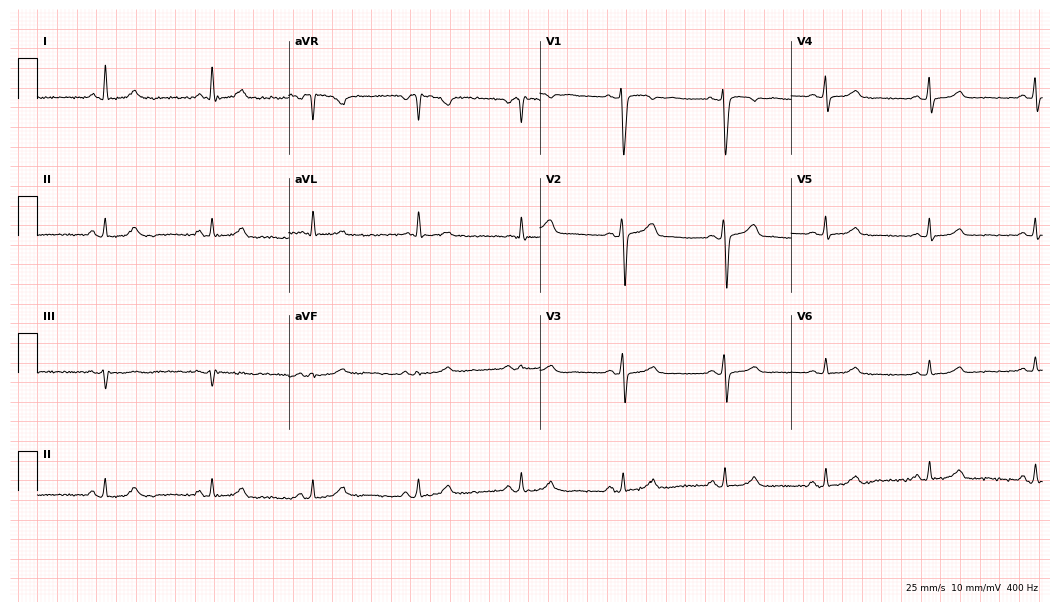
Electrocardiogram (10.2-second recording at 400 Hz), a 55-year-old female patient. Of the six screened findings (first-degree AV block, right bundle branch block (RBBB), left bundle branch block (LBBB), sinus bradycardia, atrial fibrillation (AF), sinus tachycardia), none is recorded.